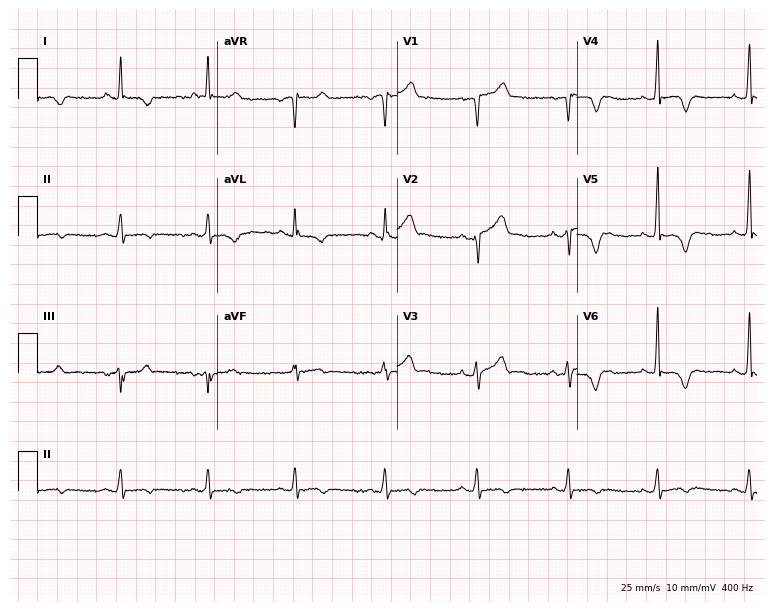
ECG — a male patient, 35 years old. Screened for six findings — first-degree AV block, right bundle branch block, left bundle branch block, sinus bradycardia, atrial fibrillation, sinus tachycardia — none is recorded. Other findings, if any, are not listed.